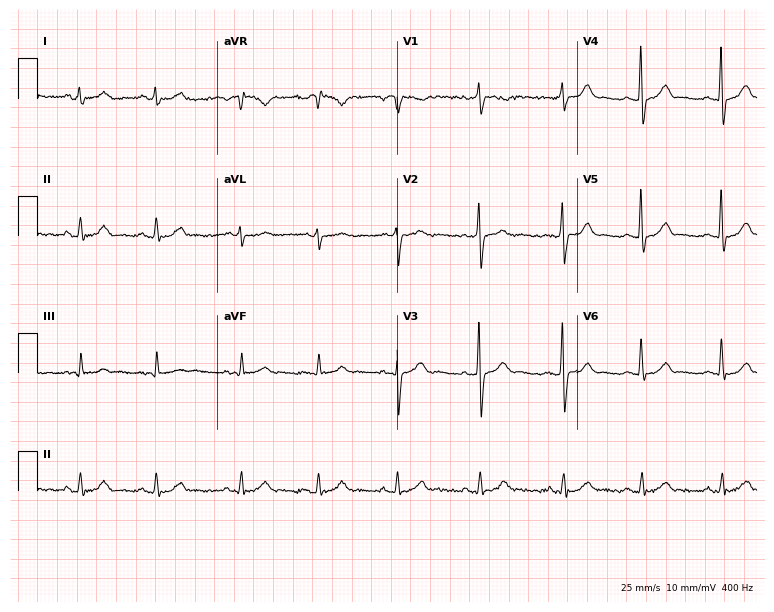
12-lead ECG from a 28-year-old female patient. No first-degree AV block, right bundle branch block (RBBB), left bundle branch block (LBBB), sinus bradycardia, atrial fibrillation (AF) or sinus tachycardia recorded for this tracing. Other findings, if any, are not listed.